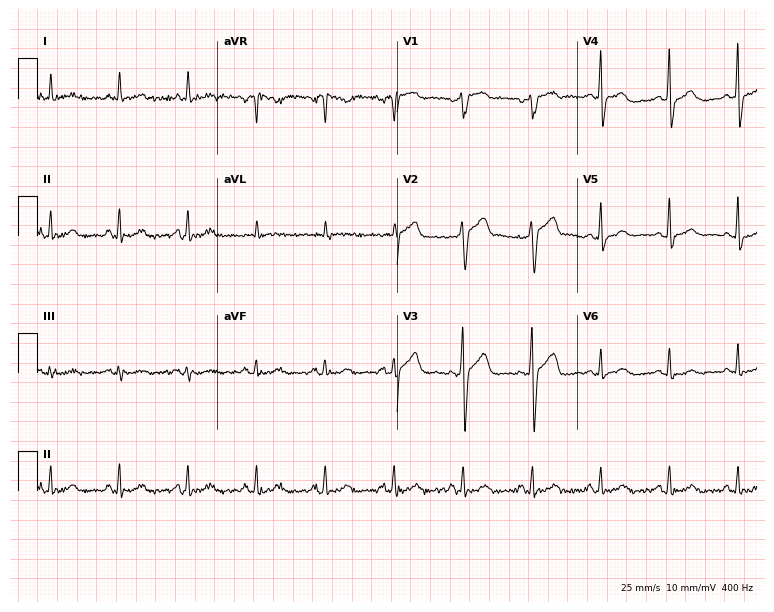
ECG (7.3-second recording at 400 Hz) — a 52-year-old male. Labelled as a normal ECG.